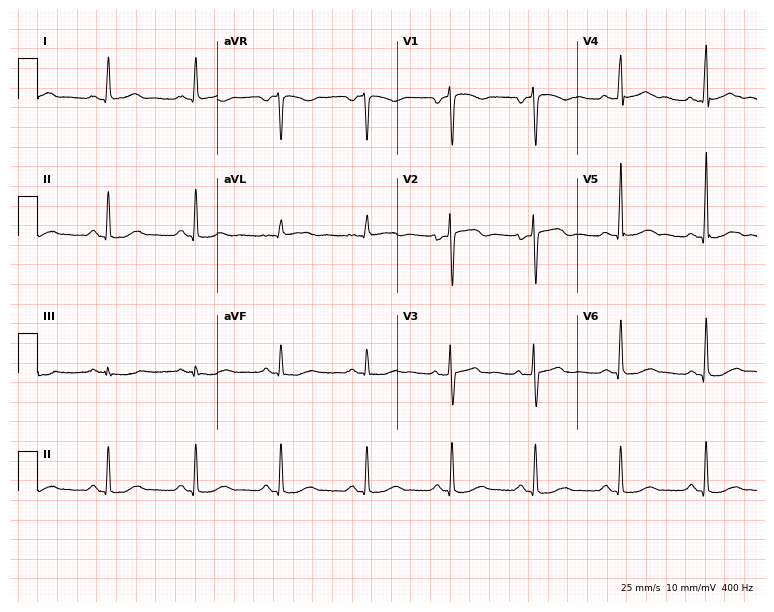
12-lead ECG (7.3-second recording at 400 Hz) from a 59-year-old male. Labelled as a normal ECG.